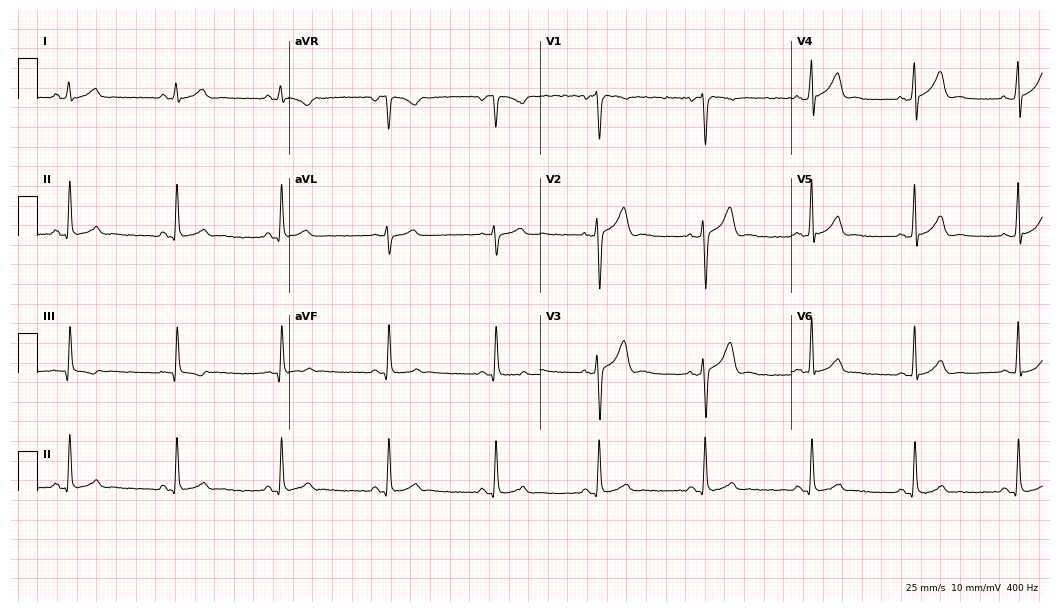
12-lead ECG (10.2-second recording at 400 Hz) from a 37-year-old man. Labelled as a normal ECG.